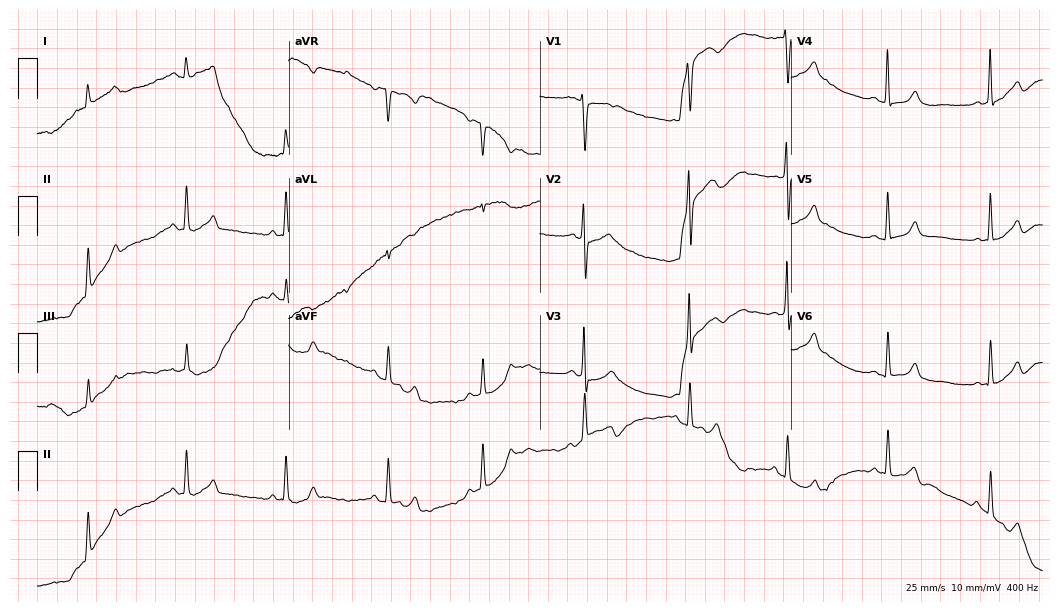
12-lead ECG from a female, 30 years old (10.2-second recording at 400 Hz). No first-degree AV block, right bundle branch block (RBBB), left bundle branch block (LBBB), sinus bradycardia, atrial fibrillation (AF) or sinus tachycardia recorded for this tracing. Findings outside these six are not listed.